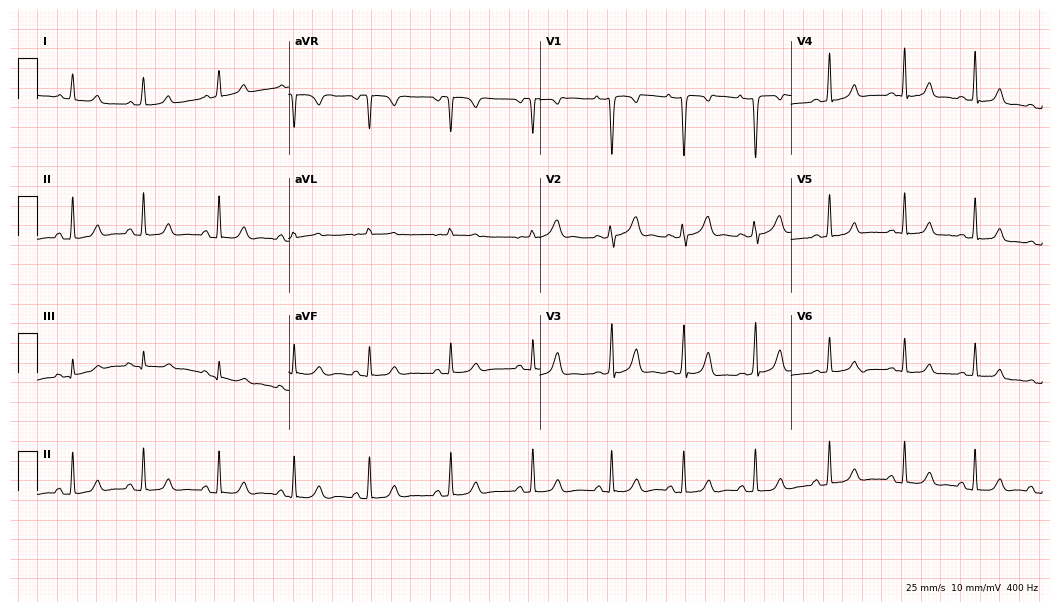
ECG — a female patient, 25 years old. Labelled as a normal ECG.